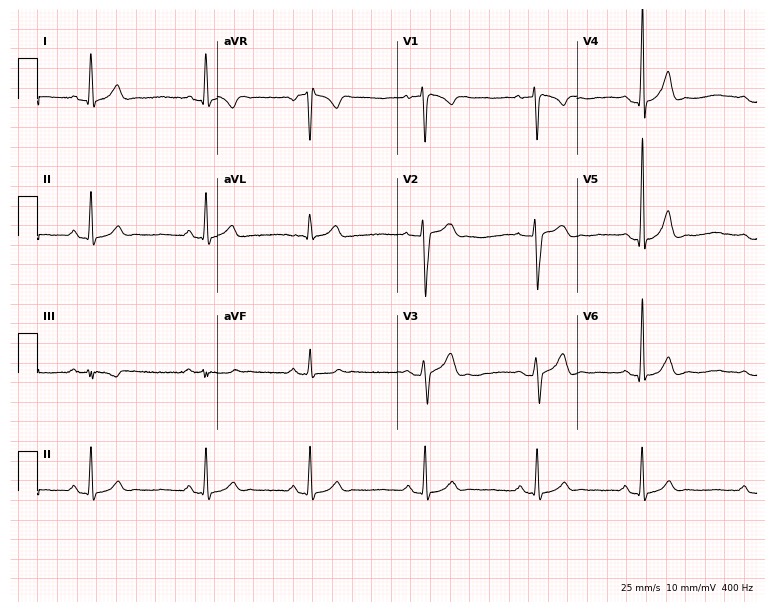
ECG (7.3-second recording at 400 Hz) — a man, 31 years old. Labelled as a normal ECG.